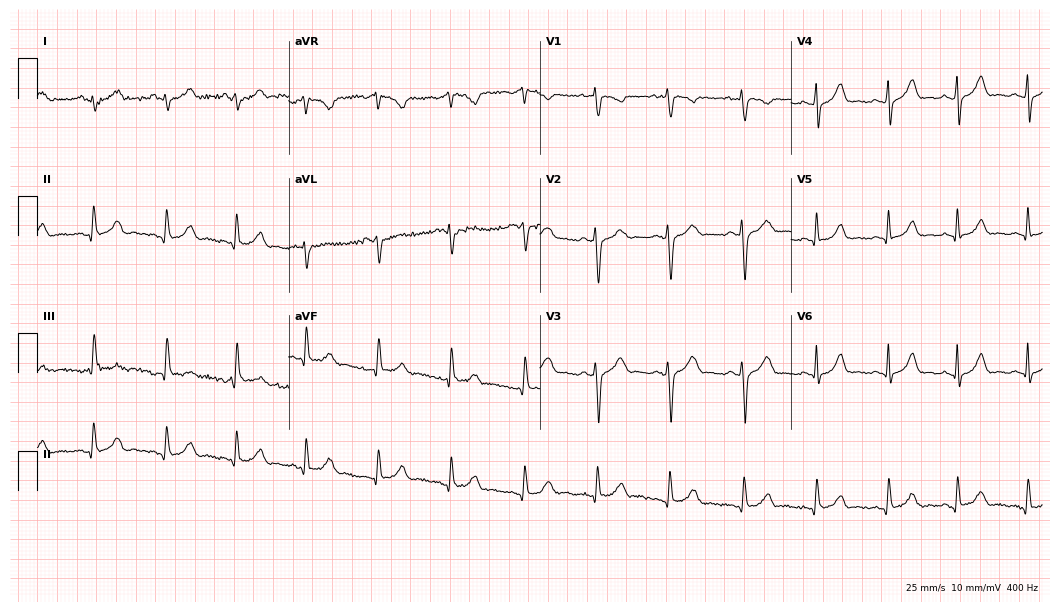
Resting 12-lead electrocardiogram (10.2-second recording at 400 Hz). Patient: a female, 26 years old. None of these six findings is recorded: first-degree AV block, right bundle branch block, left bundle branch block, sinus bradycardia, atrial fibrillation, sinus tachycardia. Other findings, if any, are not listed.